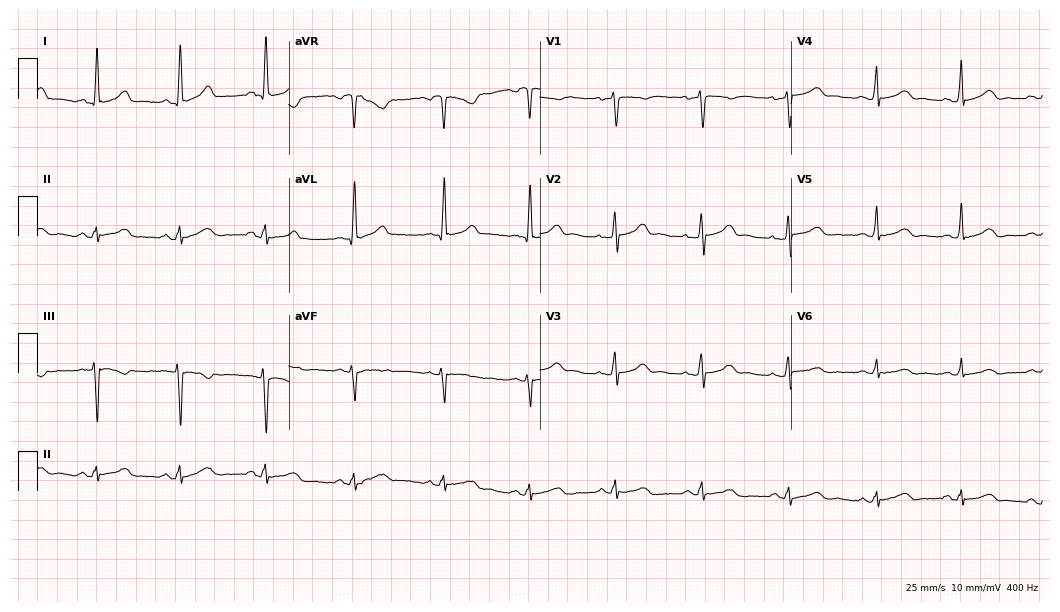
12-lead ECG from a 46-year-old woman. No first-degree AV block, right bundle branch block, left bundle branch block, sinus bradycardia, atrial fibrillation or sinus tachycardia recorded for this tracing.